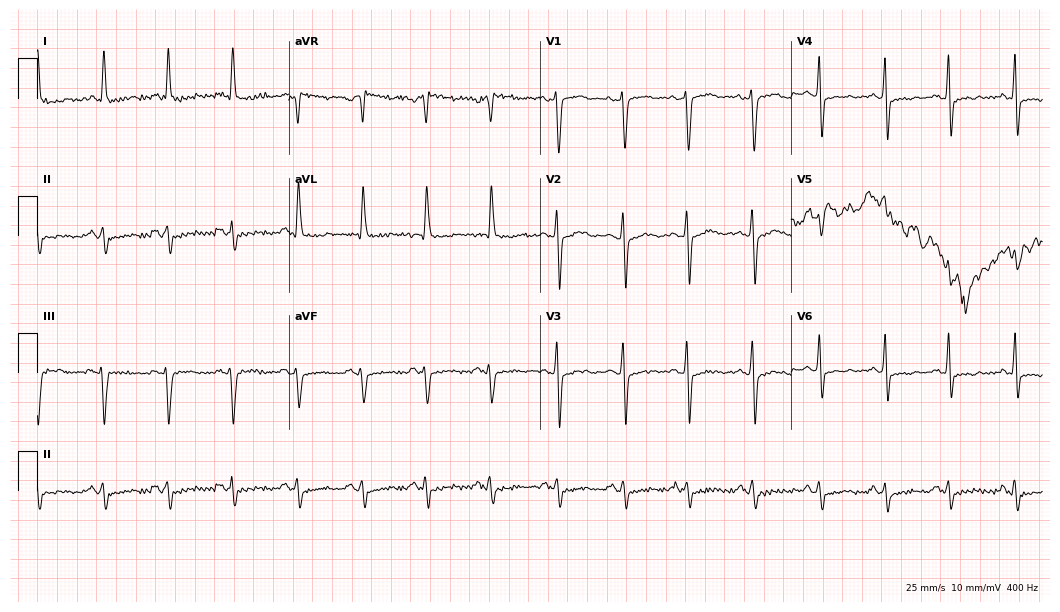
12-lead ECG from a 71-year-old female. No first-degree AV block, right bundle branch block, left bundle branch block, sinus bradycardia, atrial fibrillation or sinus tachycardia recorded for this tracing.